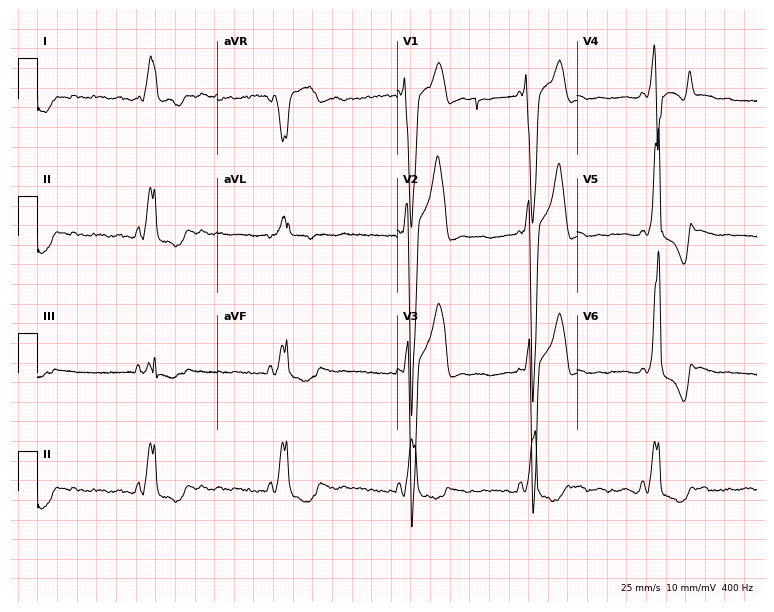
ECG (7.3-second recording at 400 Hz) — a male, 20 years old. Screened for six findings — first-degree AV block, right bundle branch block, left bundle branch block, sinus bradycardia, atrial fibrillation, sinus tachycardia — none is recorded.